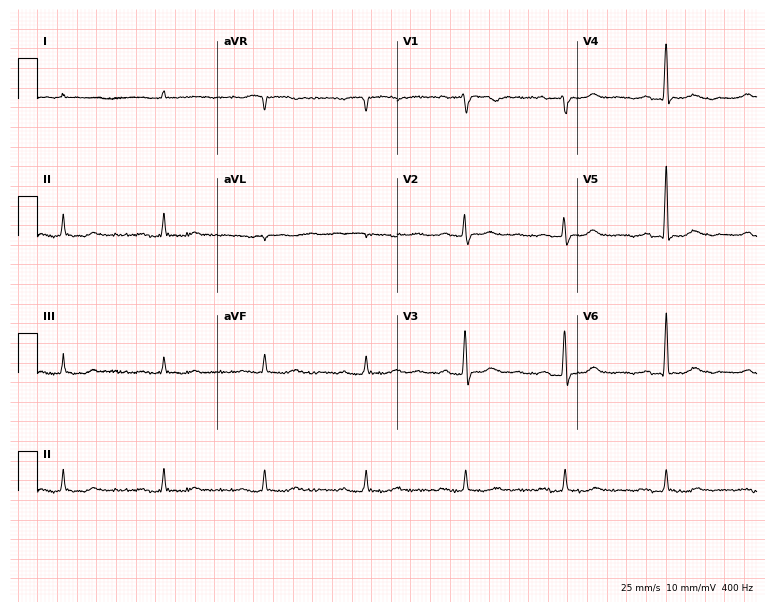
Standard 12-lead ECG recorded from a 54-year-old female (7.3-second recording at 400 Hz). None of these six findings is recorded: first-degree AV block, right bundle branch block, left bundle branch block, sinus bradycardia, atrial fibrillation, sinus tachycardia.